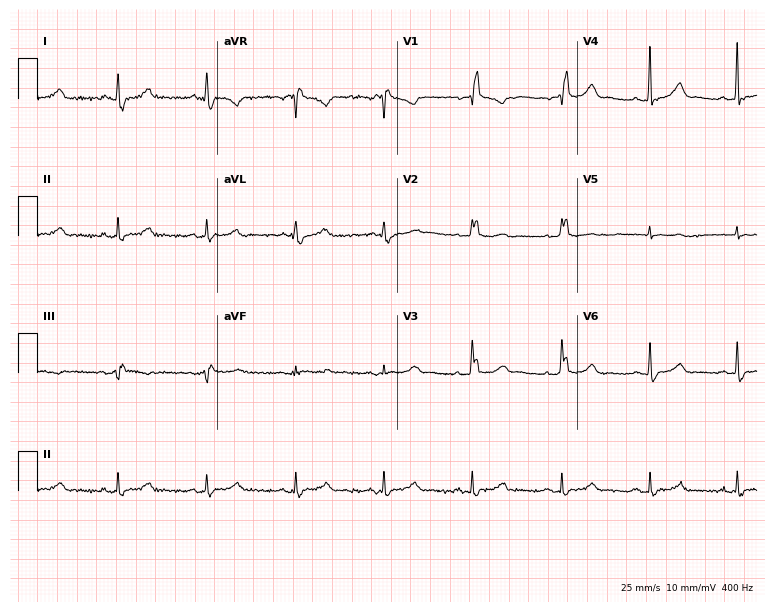
12-lead ECG from a female, 69 years old. Findings include right bundle branch block.